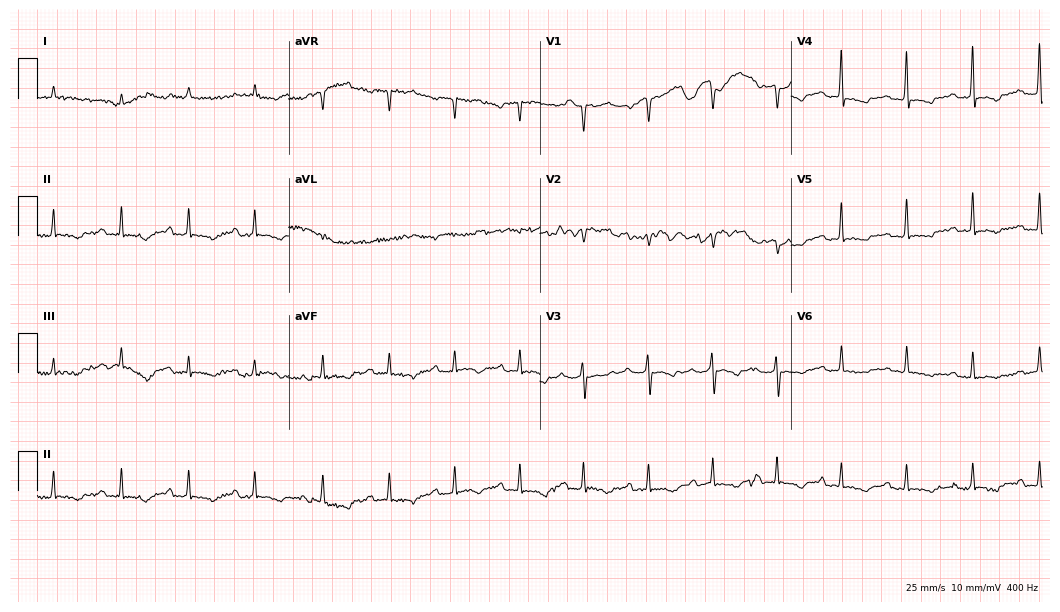
Standard 12-lead ECG recorded from a man, 84 years old (10.2-second recording at 400 Hz). None of these six findings is recorded: first-degree AV block, right bundle branch block (RBBB), left bundle branch block (LBBB), sinus bradycardia, atrial fibrillation (AF), sinus tachycardia.